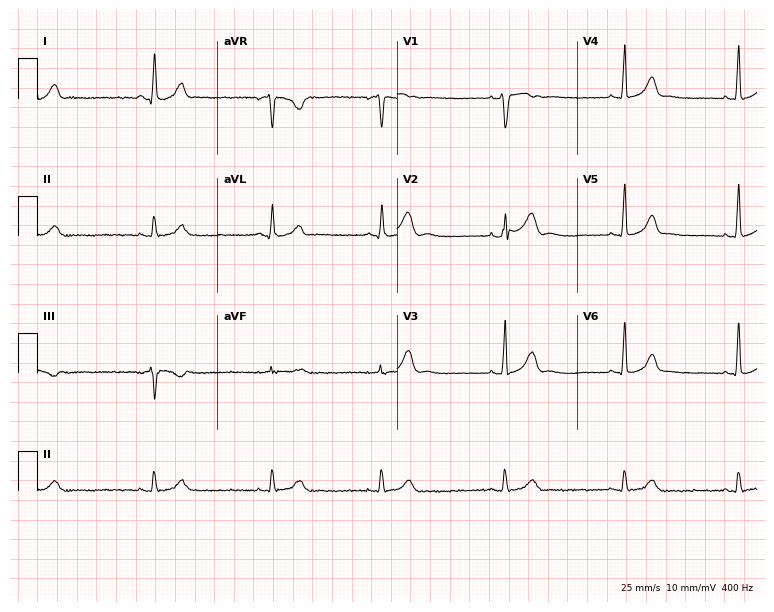
Standard 12-lead ECG recorded from a 20-year-old male patient (7.3-second recording at 400 Hz). The tracing shows sinus bradycardia (a sinus rate of 50 beats per minute or less).